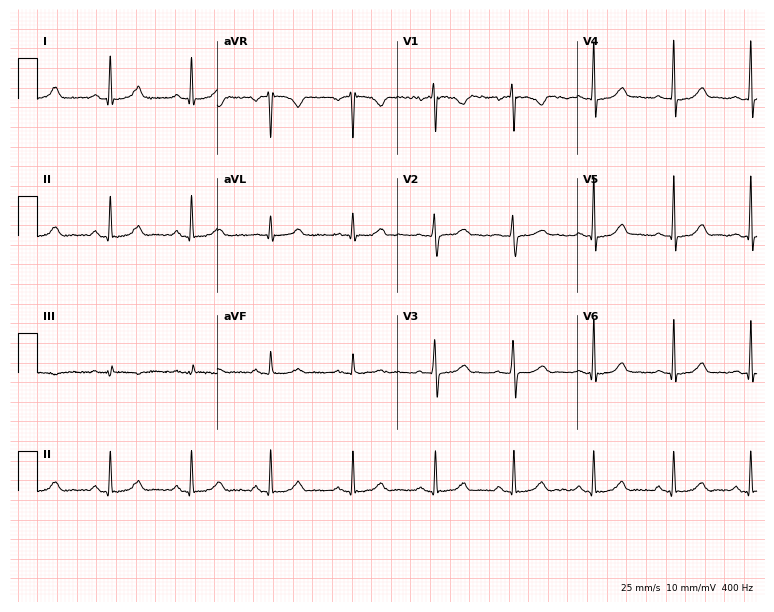
Resting 12-lead electrocardiogram (7.3-second recording at 400 Hz). Patient: a woman, 32 years old. Read as a normal ECG.